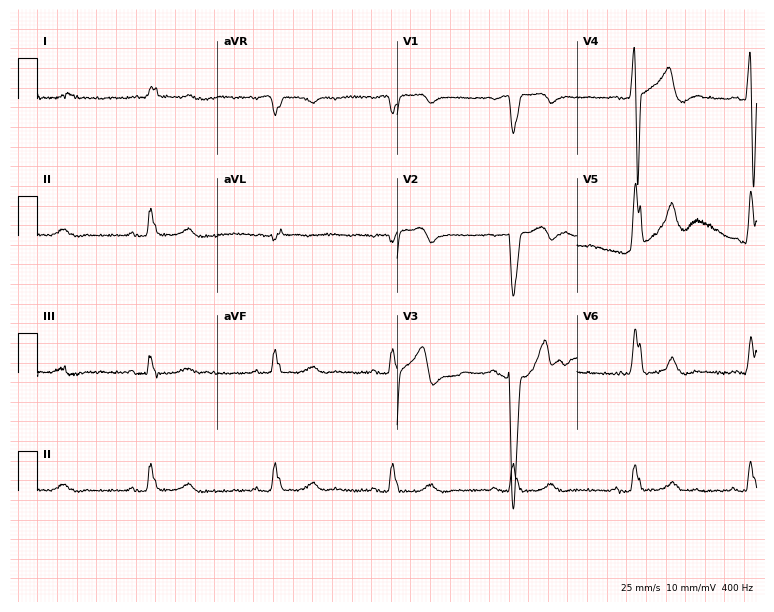
Resting 12-lead electrocardiogram (7.3-second recording at 400 Hz). Patient: a male, 77 years old. The tracing shows left bundle branch block, sinus bradycardia (a sinus rate of 50 beats per minute or less).